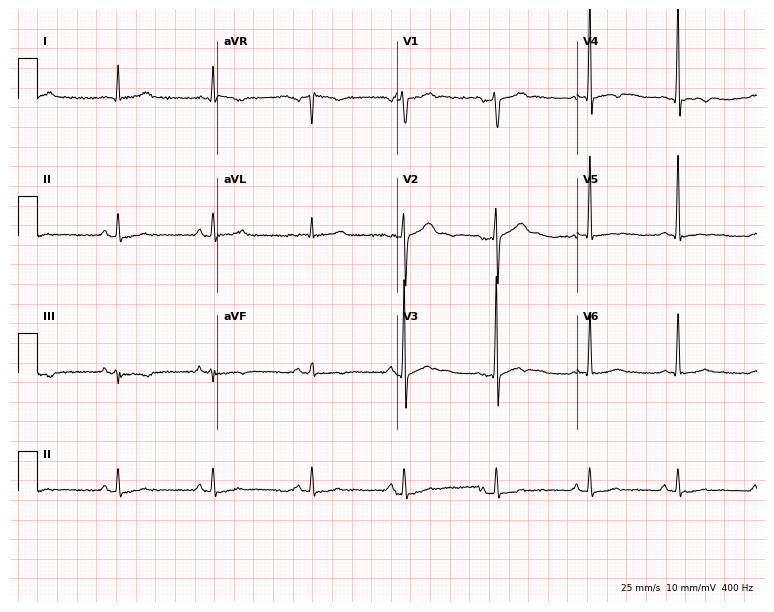
12-lead ECG from a 55-year-old male (7.3-second recording at 400 Hz). No first-degree AV block, right bundle branch block (RBBB), left bundle branch block (LBBB), sinus bradycardia, atrial fibrillation (AF) or sinus tachycardia recorded for this tracing. Only these six findings were labelled.